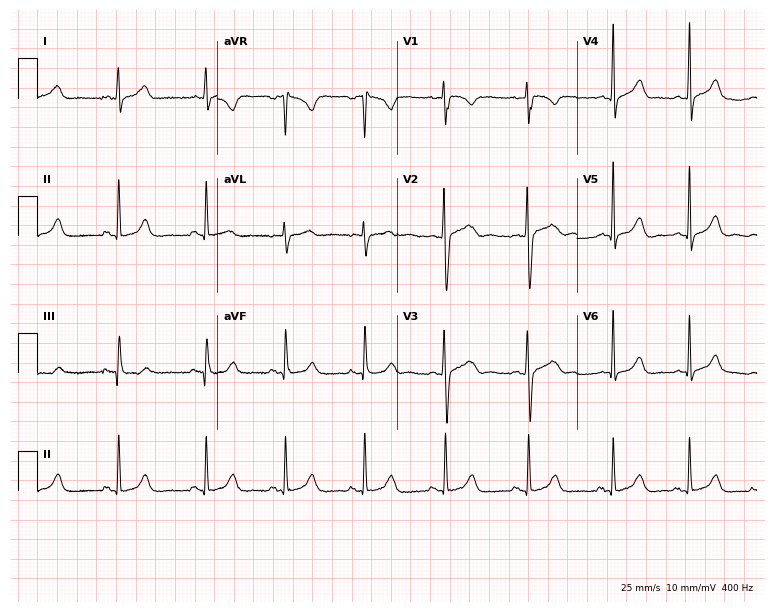
ECG — a woman, 27 years old. Screened for six findings — first-degree AV block, right bundle branch block, left bundle branch block, sinus bradycardia, atrial fibrillation, sinus tachycardia — none is recorded. Other findings, if any, are not listed.